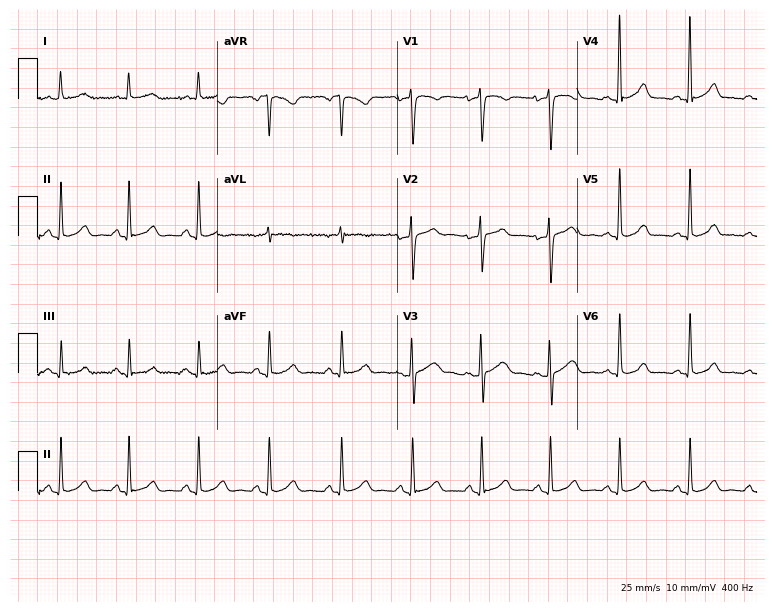
Standard 12-lead ECG recorded from a 31-year-old woman (7.3-second recording at 400 Hz). Read as a normal ECG.